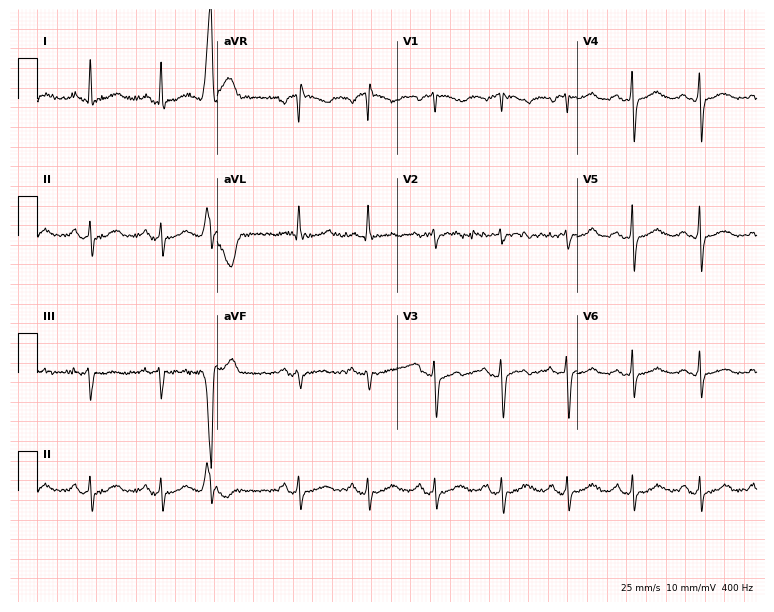
Electrocardiogram (7.3-second recording at 400 Hz), a female, 62 years old. Overall reading on record: normal ECG.